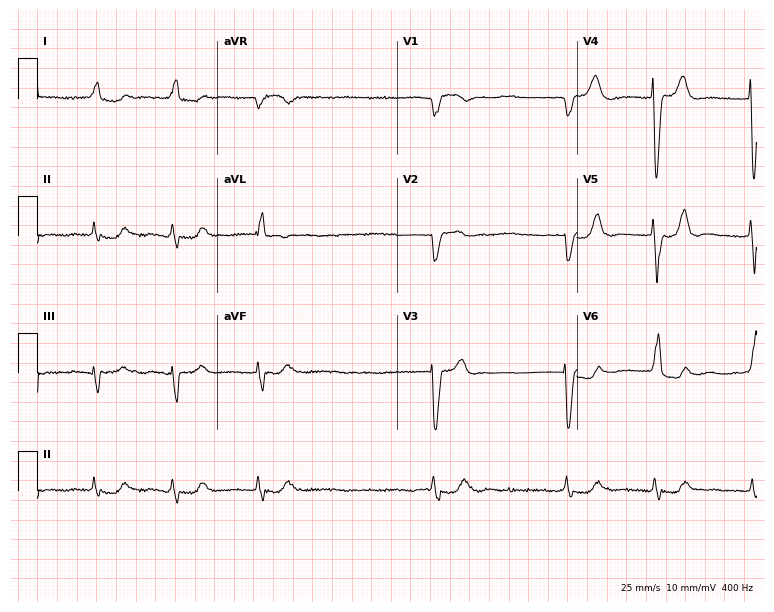
Standard 12-lead ECG recorded from a female patient, 80 years old (7.3-second recording at 400 Hz). The tracing shows left bundle branch block (LBBB), atrial fibrillation (AF).